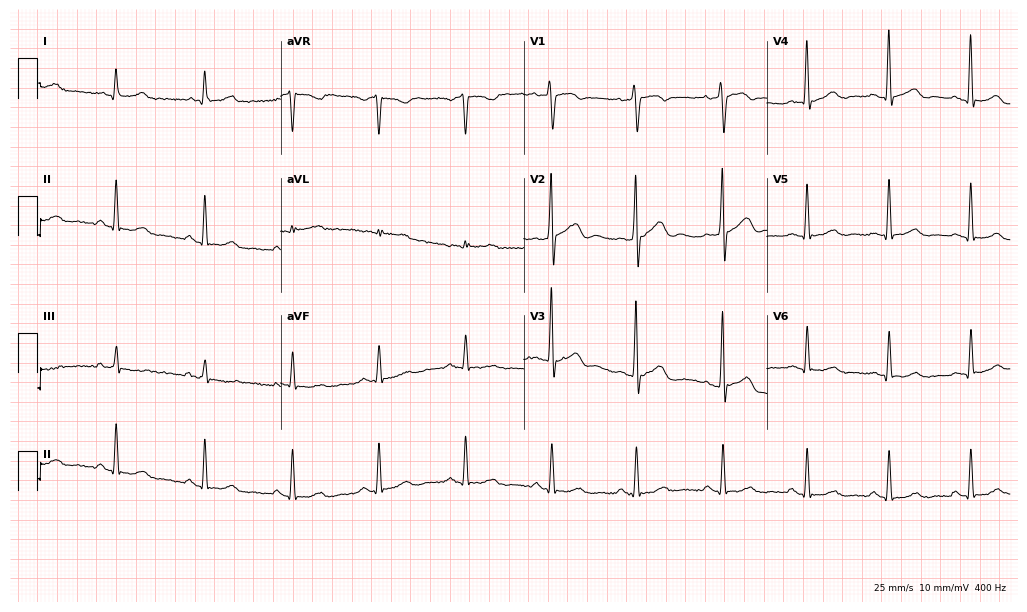
12-lead ECG from a male patient, 50 years old. Labelled as a normal ECG.